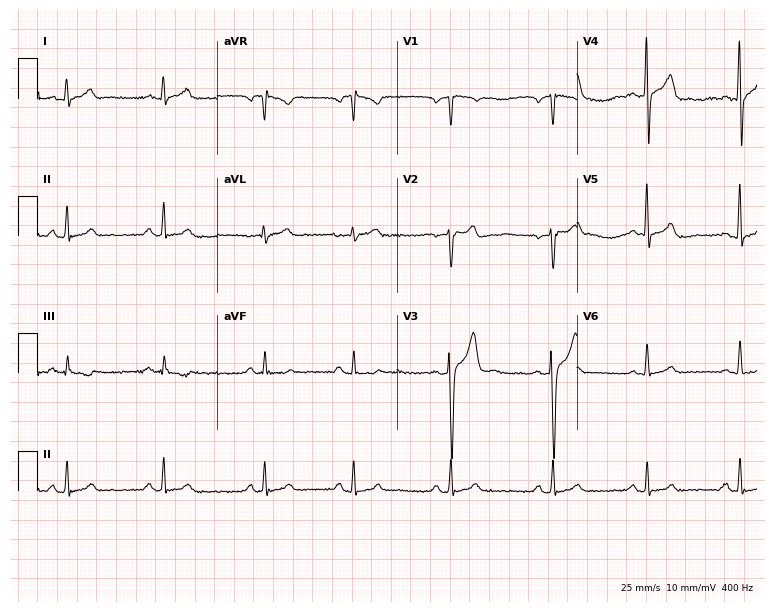
ECG (7.3-second recording at 400 Hz) — a male patient, 29 years old. Labelled as a normal ECG.